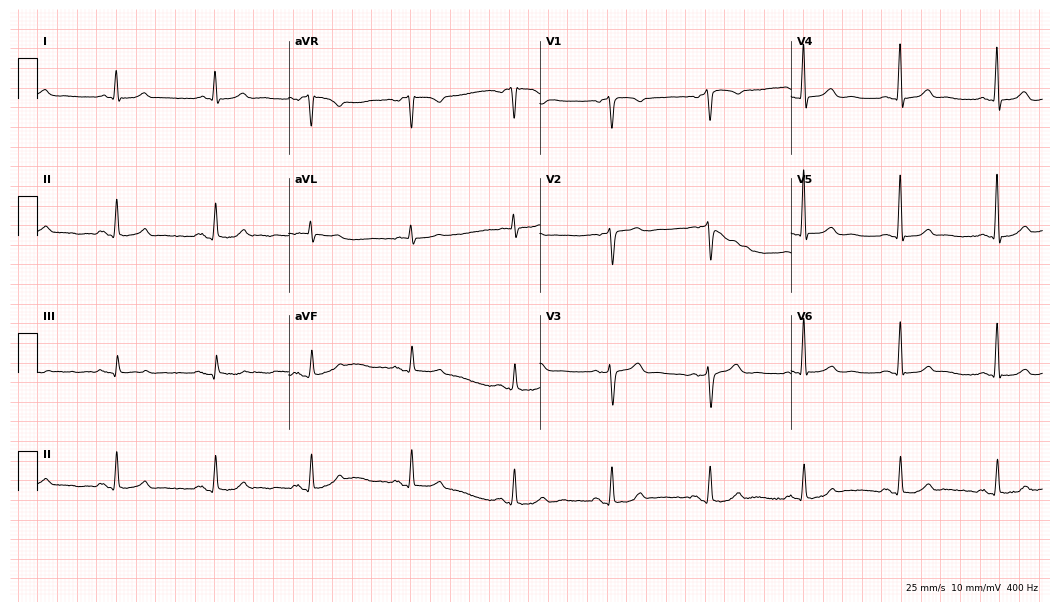
Electrocardiogram, a 66-year-old woman. Of the six screened findings (first-degree AV block, right bundle branch block, left bundle branch block, sinus bradycardia, atrial fibrillation, sinus tachycardia), none is recorded.